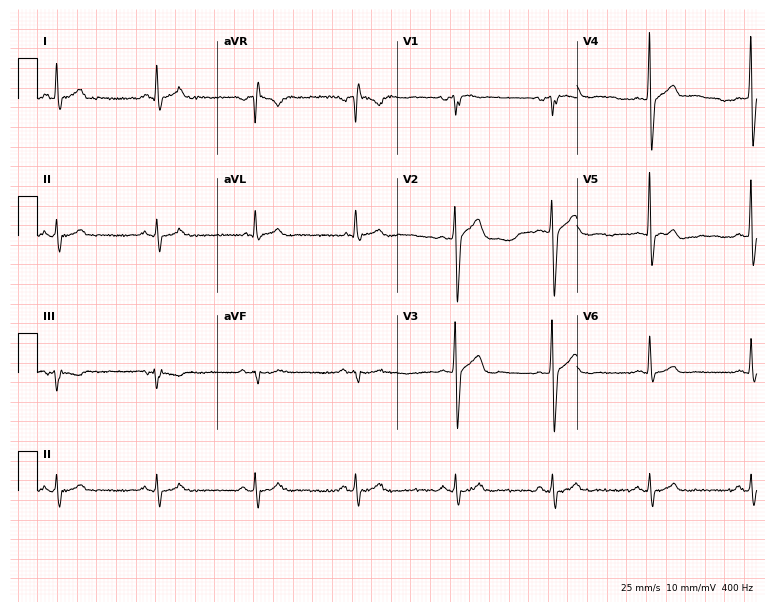
12-lead ECG from a male, 51 years old. Labelled as a normal ECG.